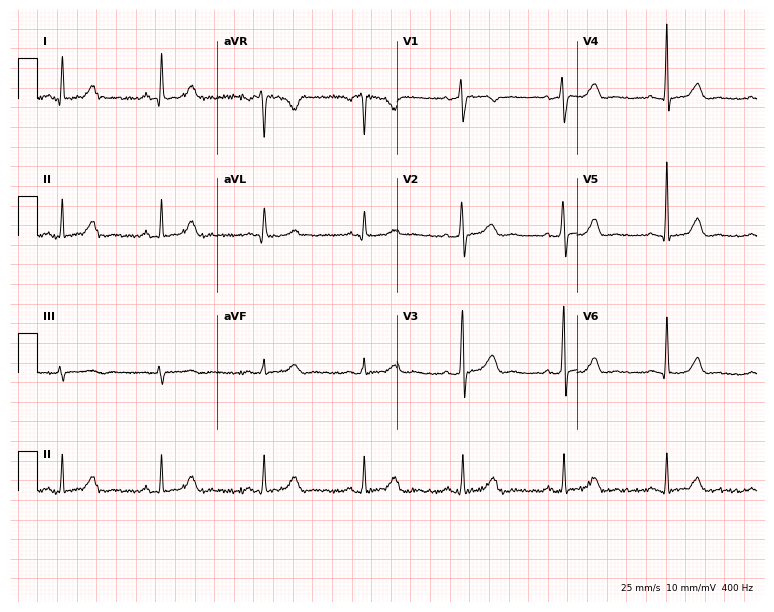
12-lead ECG (7.3-second recording at 400 Hz) from a female patient, 45 years old. Labelled as a normal ECG.